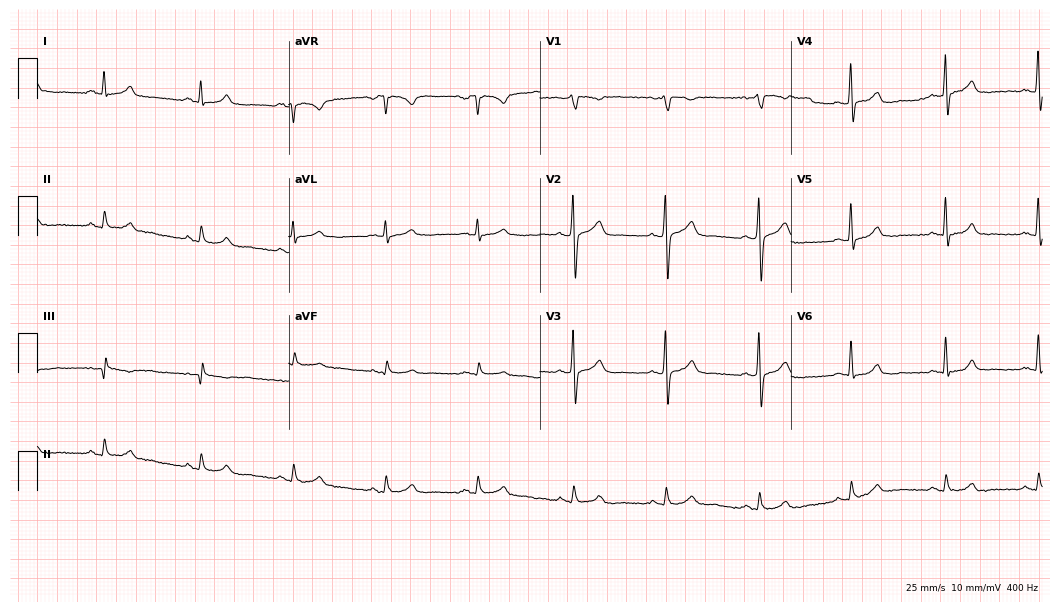
Electrocardiogram, a 38-year-old male. Overall reading on record: normal ECG.